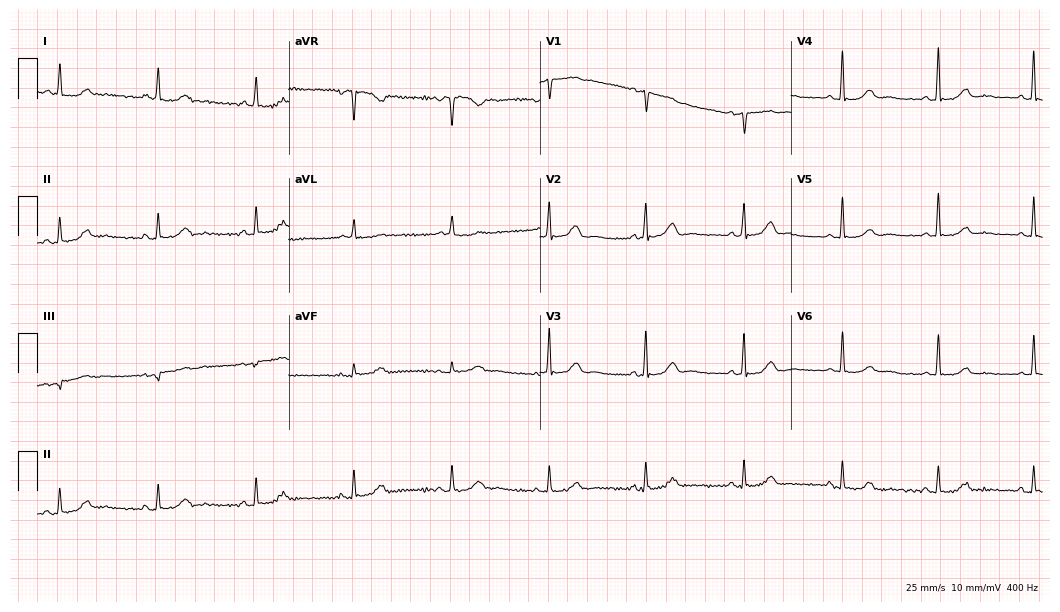
12-lead ECG from a woman, 60 years old (10.2-second recording at 400 Hz). Recorded interpretation: within normal limits.